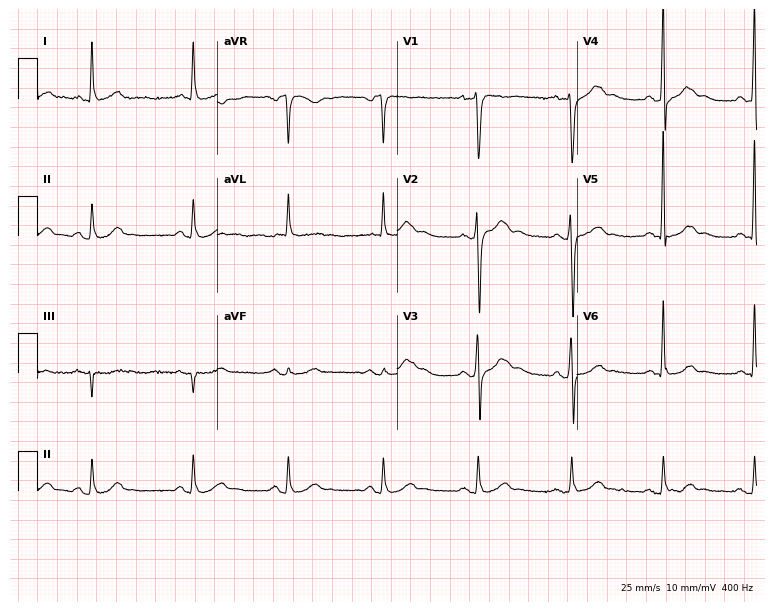
12-lead ECG from a 63-year-old man (7.3-second recording at 400 Hz). Recorded interpretation: within normal limits.